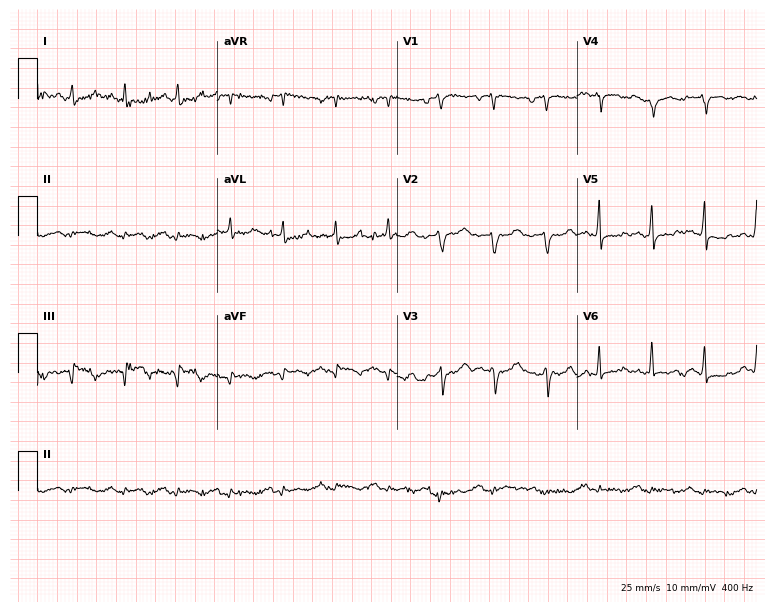
Electrocardiogram, a 50-year-old male. Of the six screened findings (first-degree AV block, right bundle branch block (RBBB), left bundle branch block (LBBB), sinus bradycardia, atrial fibrillation (AF), sinus tachycardia), none is recorded. Findings outside these six are not listed.